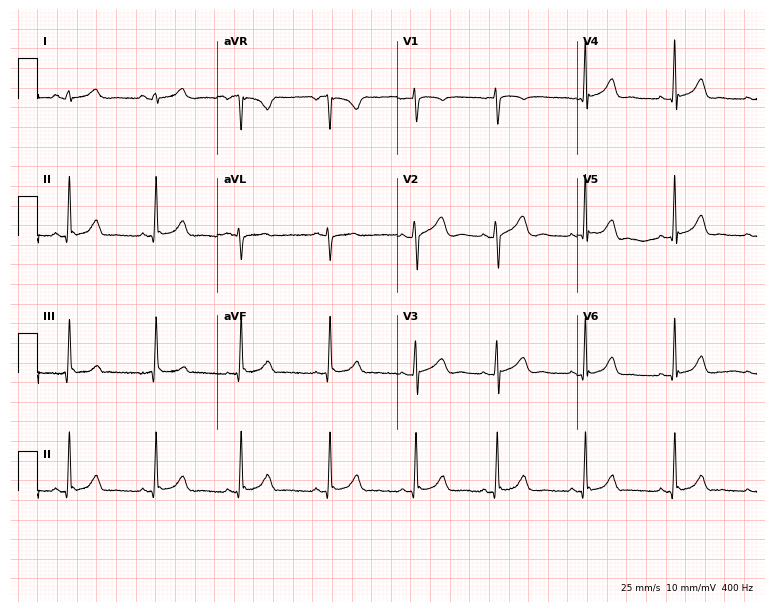
Resting 12-lead electrocardiogram (7.3-second recording at 400 Hz). Patient: a female, 17 years old. Read as a normal ECG.